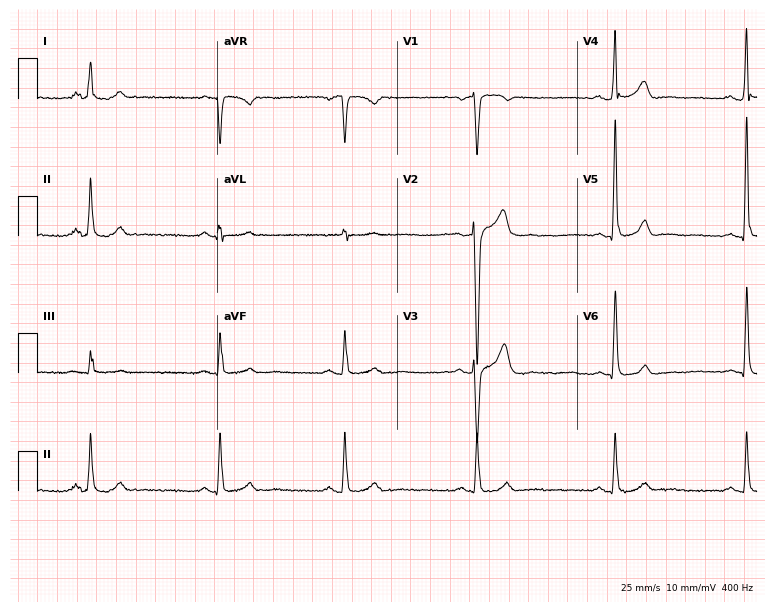
Standard 12-lead ECG recorded from a 54-year-old male (7.3-second recording at 400 Hz). The tracing shows sinus bradycardia (a sinus rate of 50 beats per minute or less).